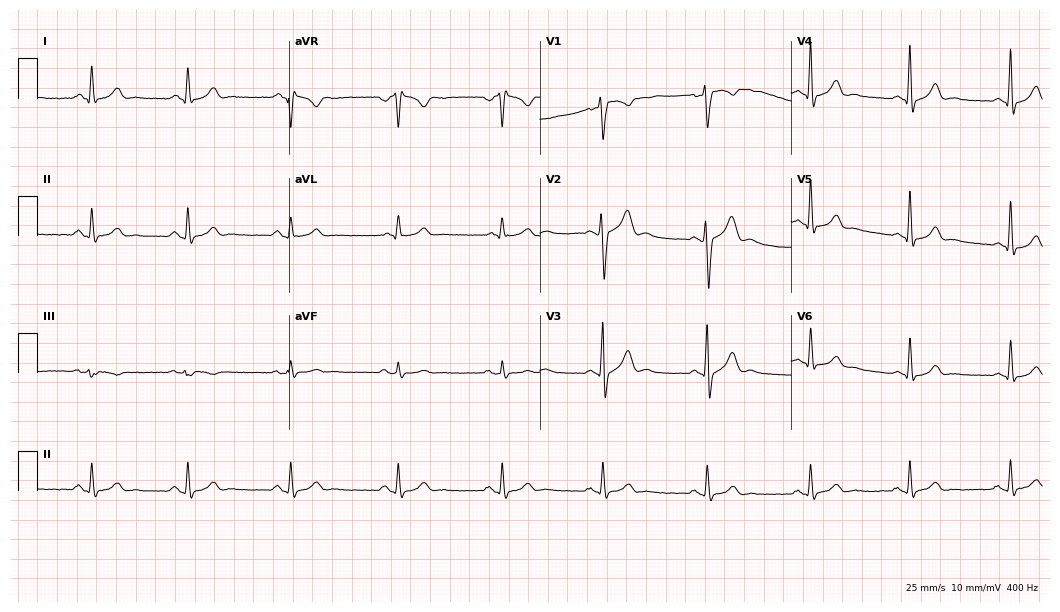
12-lead ECG from a 41-year-old man. No first-degree AV block, right bundle branch block (RBBB), left bundle branch block (LBBB), sinus bradycardia, atrial fibrillation (AF) or sinus tachycardia recorded for this tracing. Other findings, if any, are not listed.